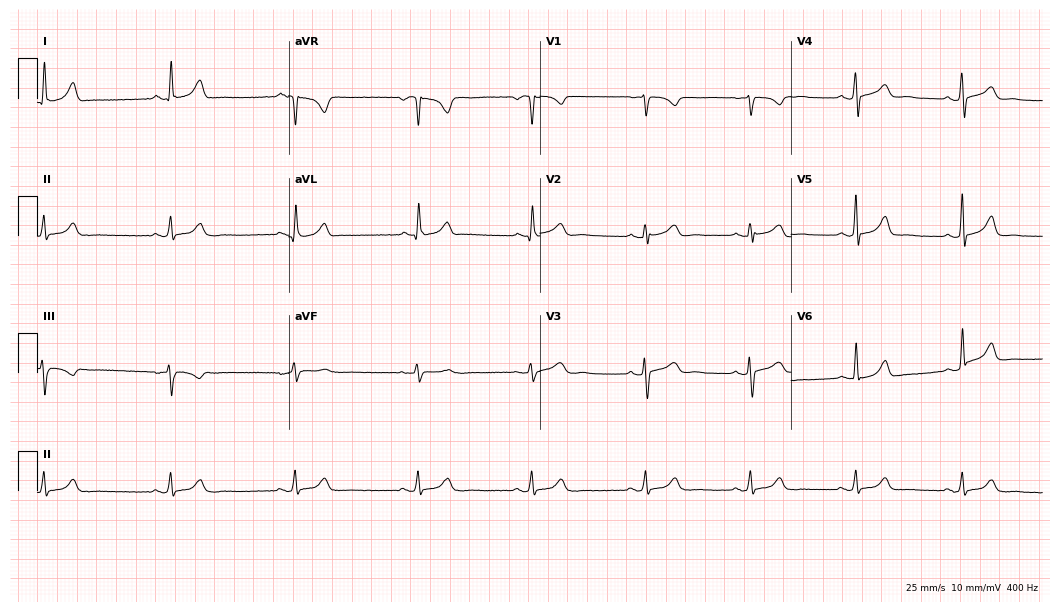
Resting 12-lead electrocardiogram (10.2-second recording at 400 Hz). Patient: a female, 37 years old. The tracing shows sinus bradycardia (a sinus rate of 50 beats per minute or less).